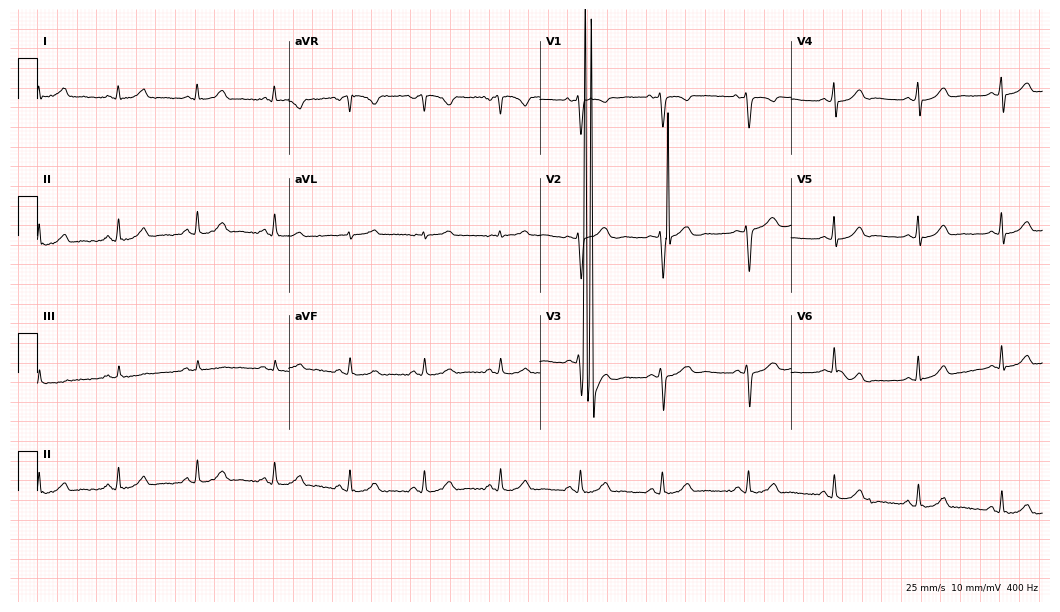
Standard 12-lead ECG recorded from a 34-year-old female patient (10.2-second recording at 400 Hz). None of these six findings is recorded: first-degree AV block, right bundle branch block, left bundle branch block, sinus bradycardia, atrial fibrillation, sinus tachycardia.